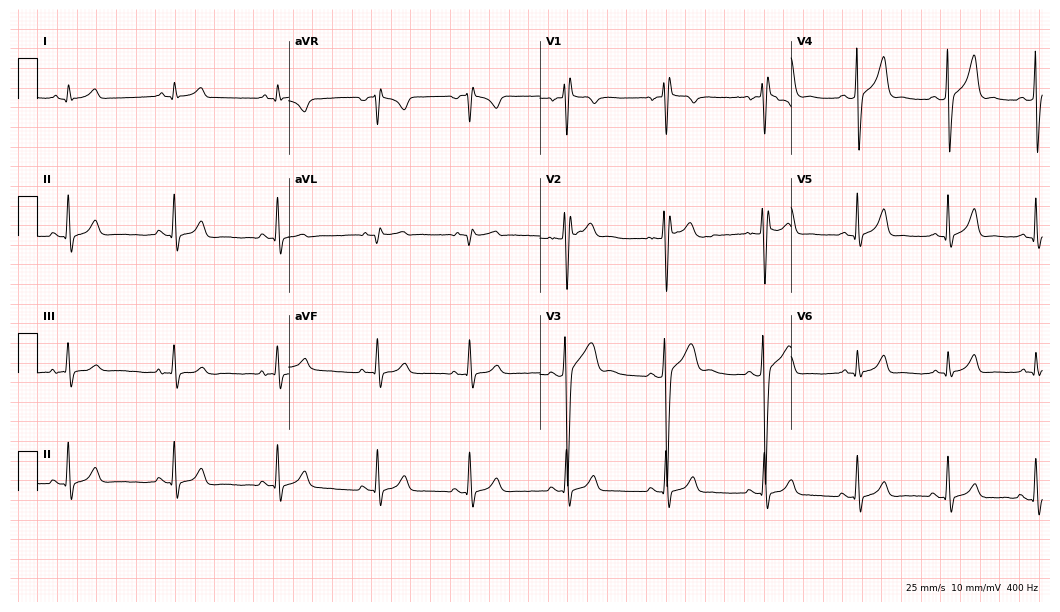
Standard 12-lead ECG recorded from a male, 20 years old (10.2-second recording at 400 Hz). None of these six findings is recorded: first-degree AV block, right bundle branch block, left bundle branch block, sinus bradycardia, atrial fibrillation, sinus tachycardia.